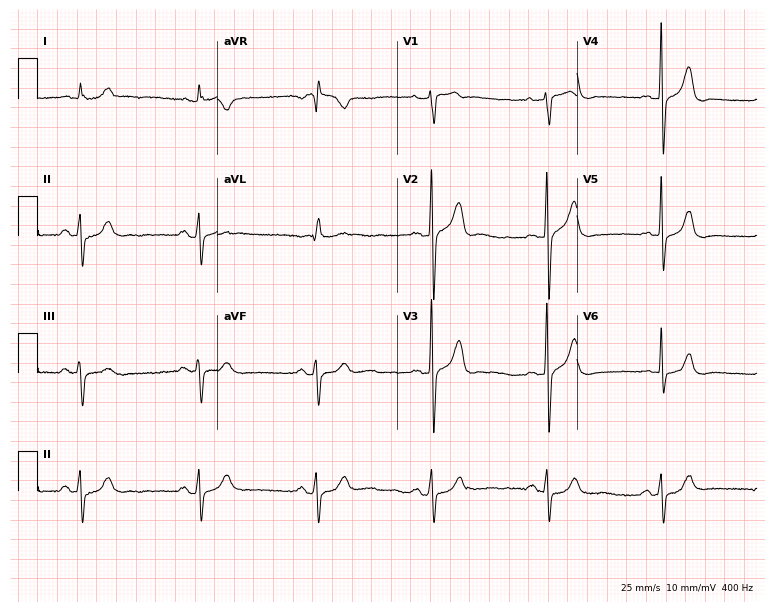
Standard 12-lead ECG recorded from a male patient, 62 years old. Read as a normal ECG.